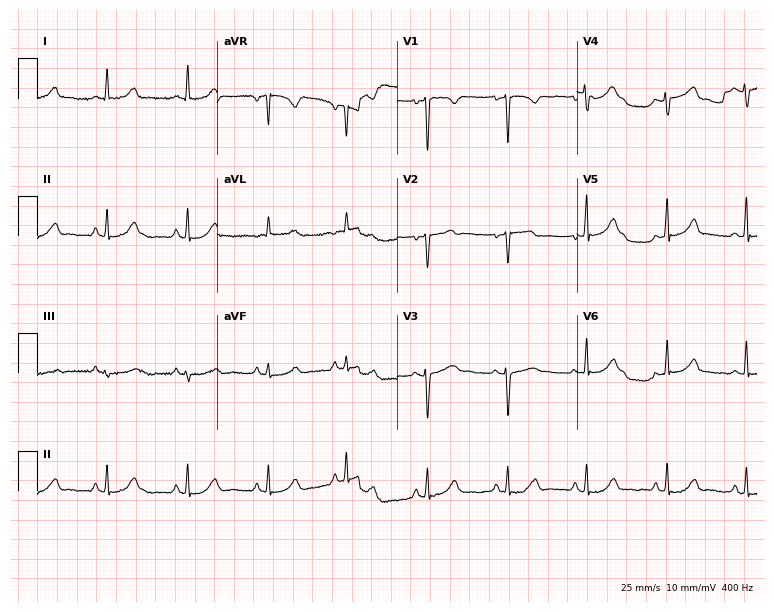
ECG — a 45-year-old female. Labelled as a normal ECG.